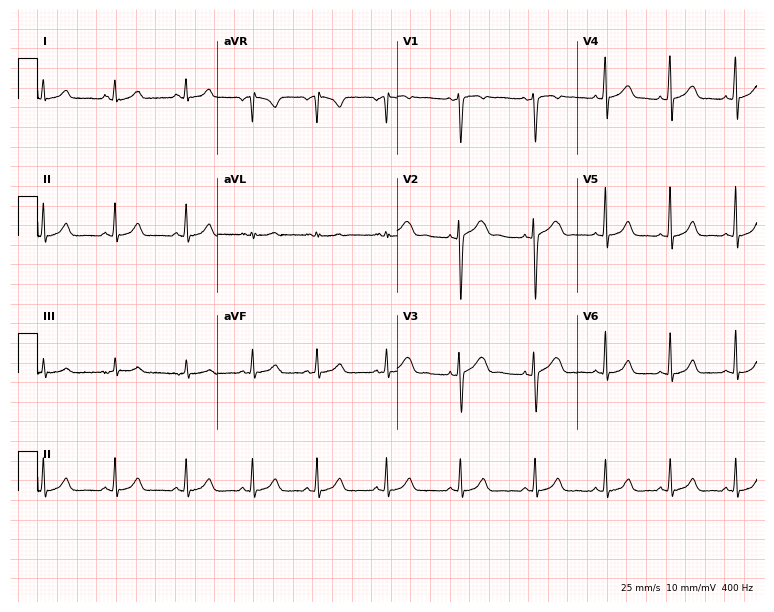
Electrocardiogram (7.3-second recording at 400 Hz), a 23-year-old female patient. Overall reading on record: normal ECG.